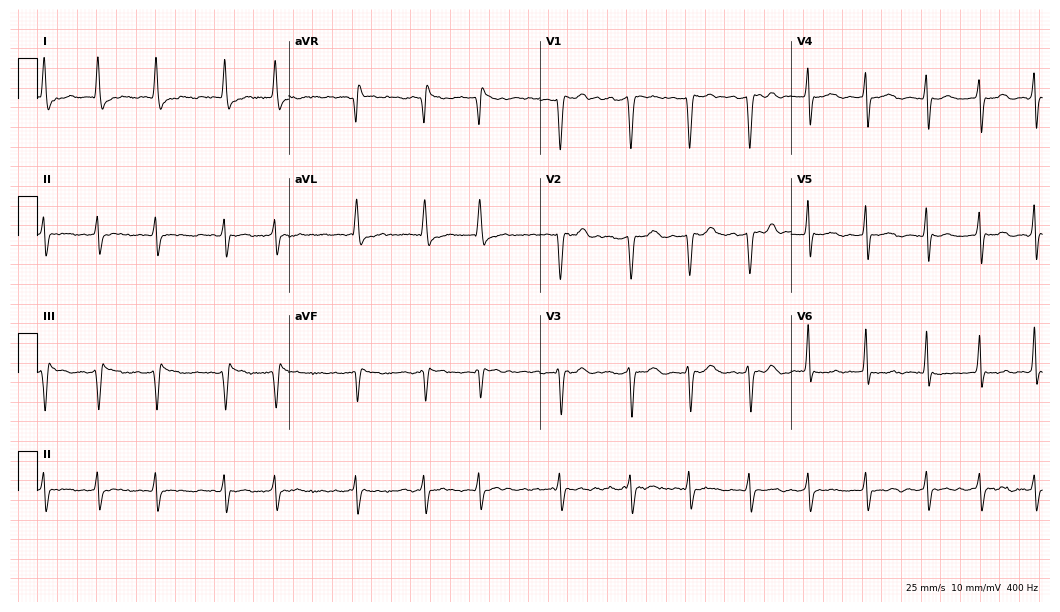
Standard 12-lead ECG recorded from a 76-year-old woman. The tracing shows atrial fibrillation.